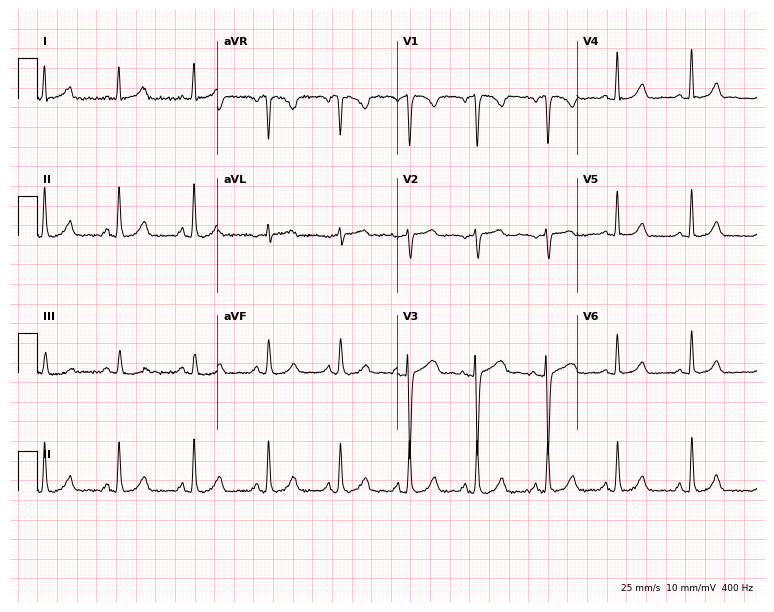
Resting 12-lead electrocardiogram (7.3-second recording at 400 Hz). Patient: a 36-year-old woman. Read as a normal ECG.